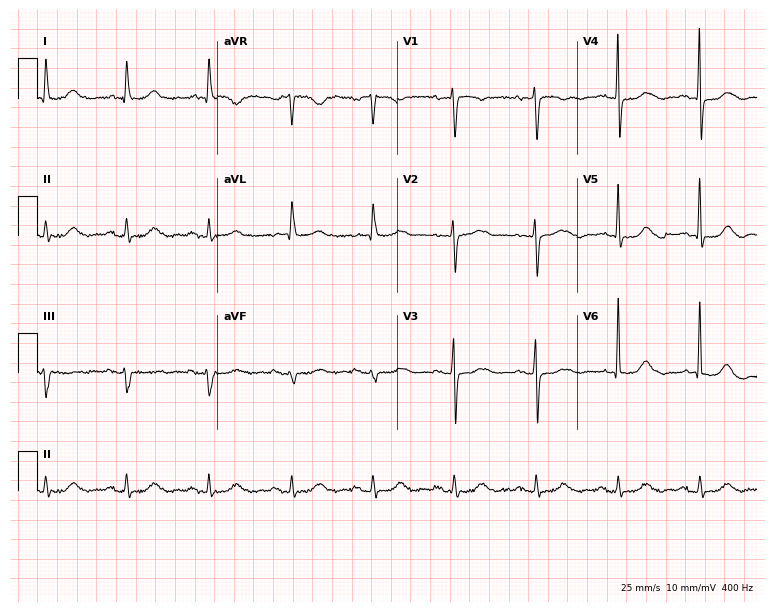
Standard 12-lead ECG recorded from a 65-year-old woman. Read as a normal ECG.